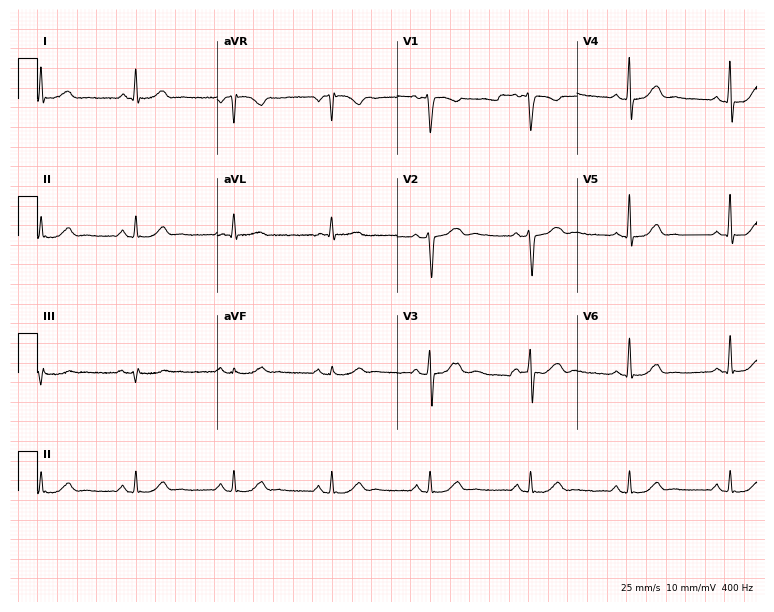
12-lead ECG from a male, 65 years old (7.3-second recording at 400 Hz). Recorded interpretation: within normal limits.